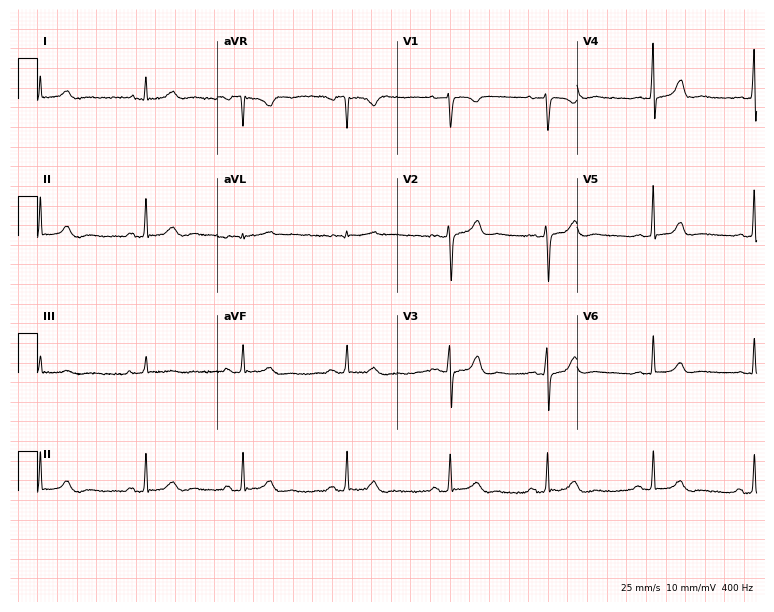
12-lead ECG from a 37-year-old female patient. No first-degree AV block, right bundle branch block, left bundle branch block, sinus bradycardia, atrial fibrillation or sinus tachycardia recorded for this tracing. Findings outside these six are not listed.